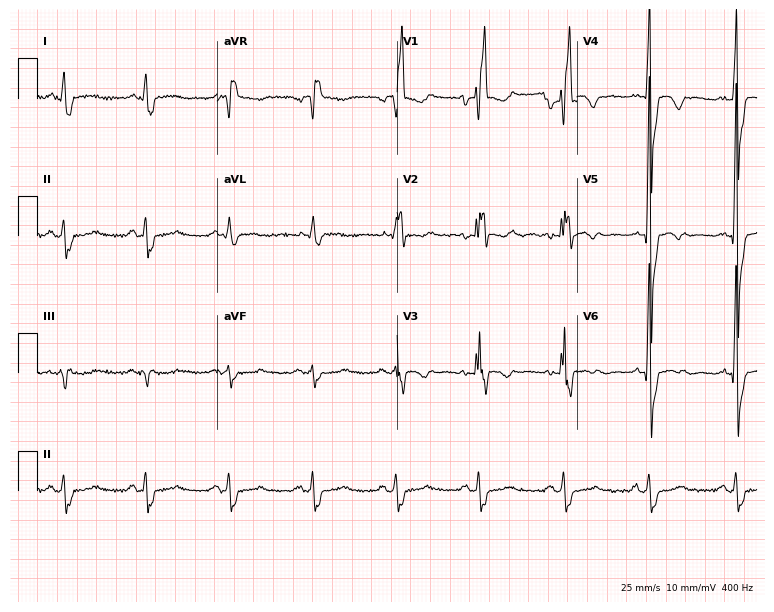
Electrocardiogram (7.3-second recording at 400 Hz), a man, 60 years old. Interpretation includes right bundle branch block (RBBB).